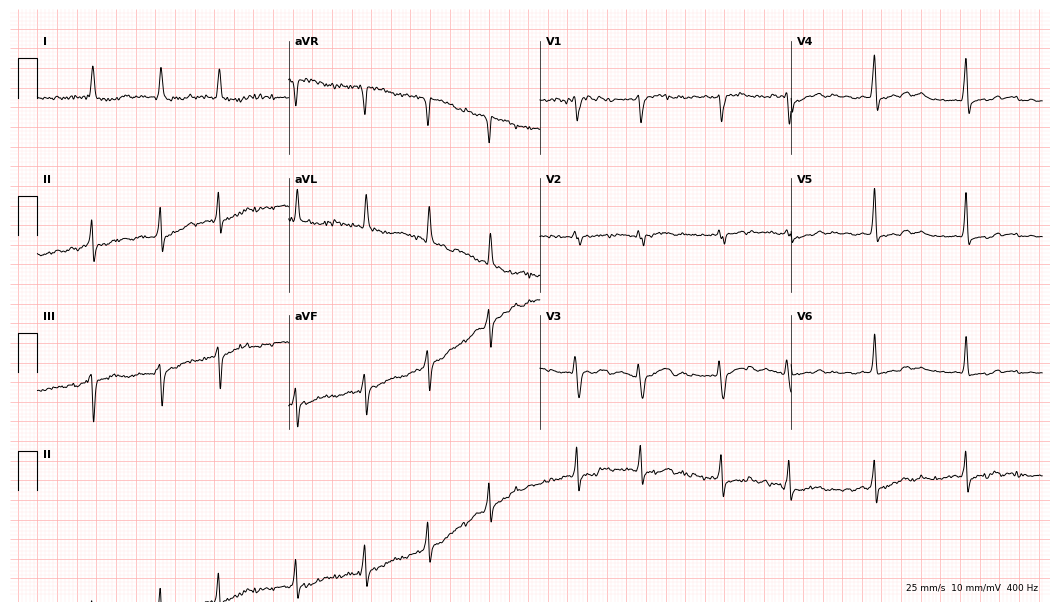
12-lead ECG from a female patient, 72 years old (10.2-second recording at 400 Hz). Shows atrial fibrillation.